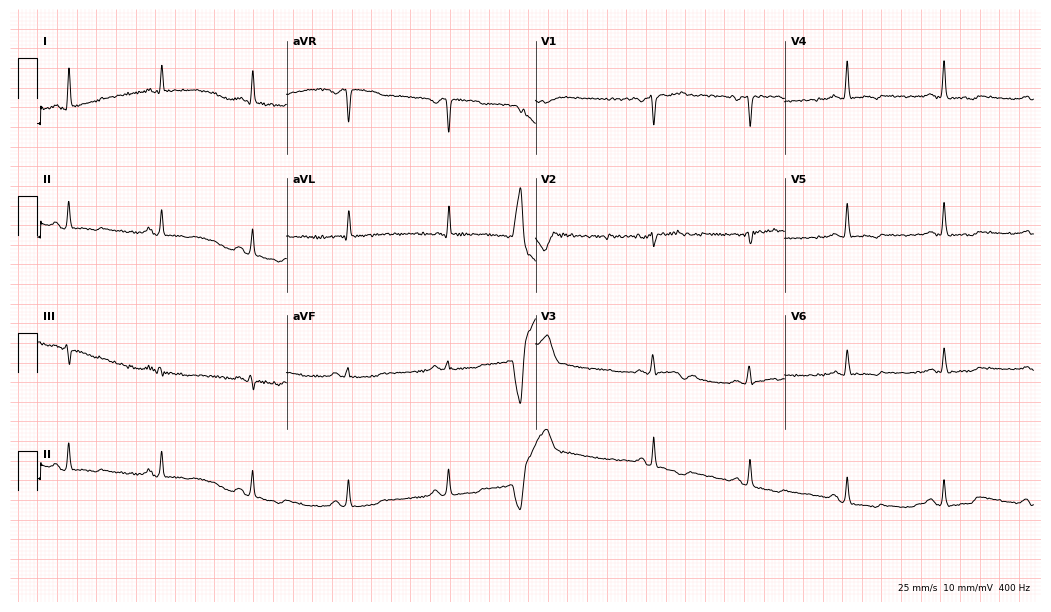
ECG — a 46-year-old female. Findings include first-degree AV block.